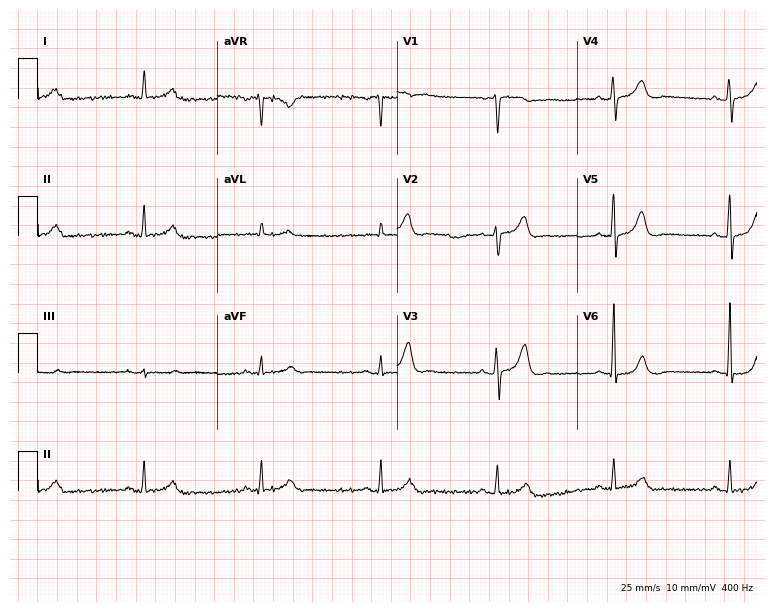
ECG — a male, 63 years old. Labelled as a normal ECG.